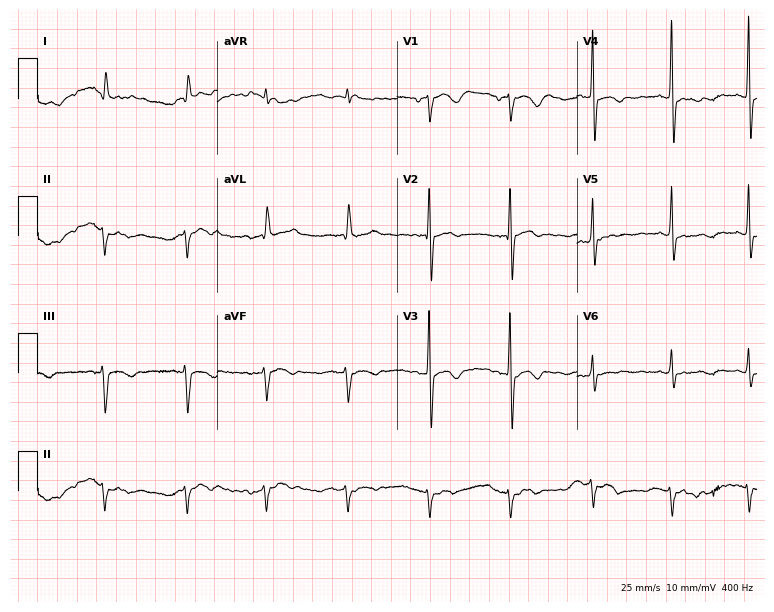
ECG (7.3-second recording at 400 Hz) — a woman, 53 years old. Screened for six findings — first-degree AV block, right bundle branch block, left bundle branch block, sinus bradycardia, atrial fibrillation, sinus tachycardia — none is recorded.